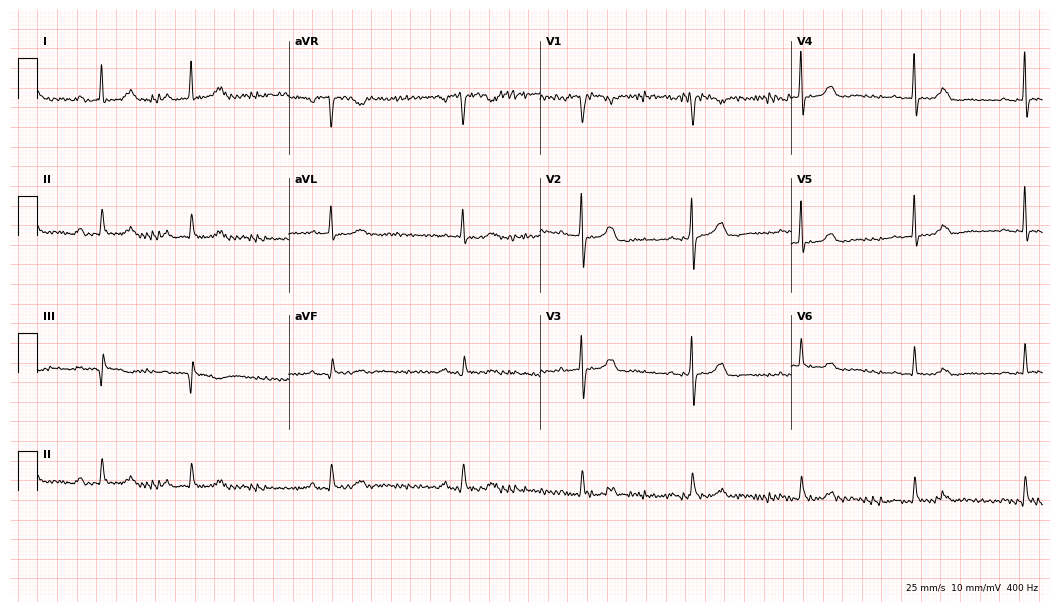
Standard 12-lead ECG recorded from a female, 76 years old. None of these six findings is recorded: first-degree AV block, right bundle branch block, left bundle branch block, sinus bradycardia, atrial fibrillation, sinus tachycardia. Other findings, if any, are not listed.